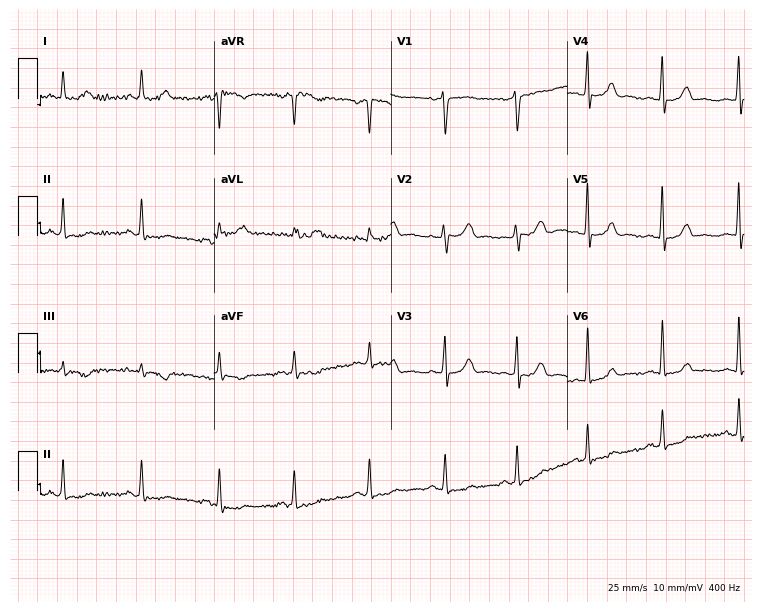
12-lead ECG from a 50-year-old woman. No first-degree AV block, right bundle branch block (RBBB), left bundle branch block (LBBB), sinus bradycardia, atrial fibrillation (AF) or sinus tachycardia recorded for this tracing. Only these six findings were labelled.